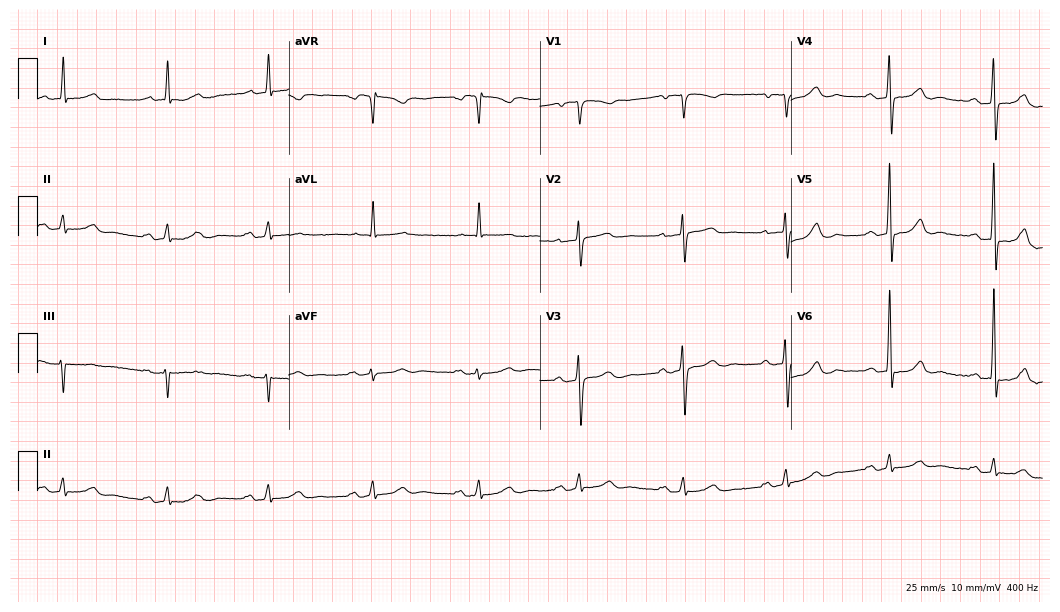
Resting 12-lead electrocardiogram. Patient: a 67-year-old male. Read as a normal ECG.